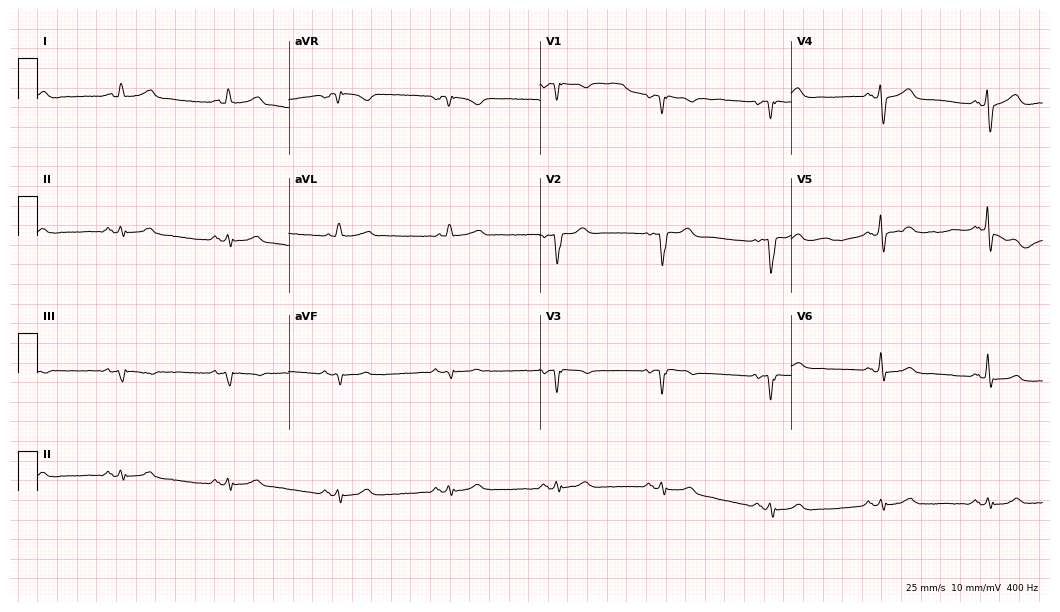
Standard 12-lead ECG recorded from a 68-year-old male patient. None of these six findings is recorded: first-degree AV block, right bundle branch block (RBBB), left bundle branch block (LBBB), sinus bradycardia, atrial fibrillation (AF), sinus tachycardia. Other findings, if any, are not listed.